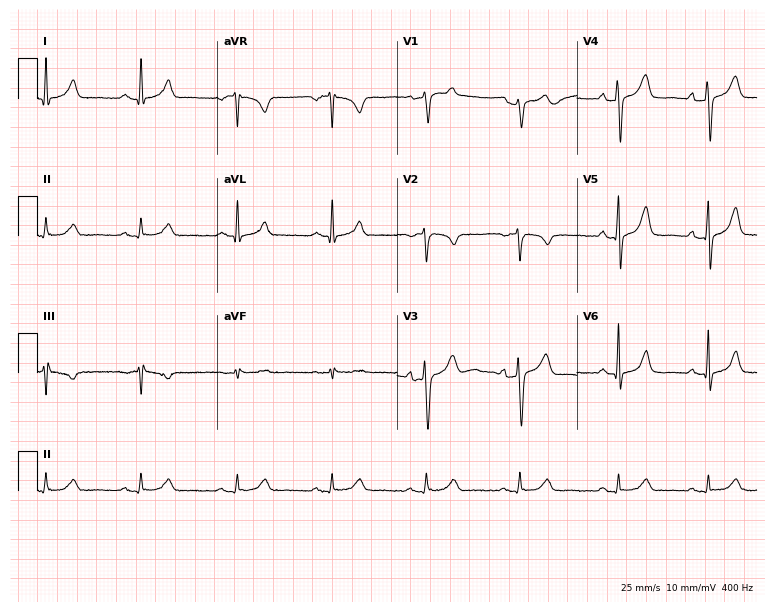
12-lead ECG (7.3-second recording at 400 Hz) from a male, 63 years old. Screened for six findings — first-degree AV block, right bundle branch block (RBBB), left bundle branch block (LBBB), sinus bradycardia, atrial fibrillation (AF), sinus tachycardia — none is recorded.